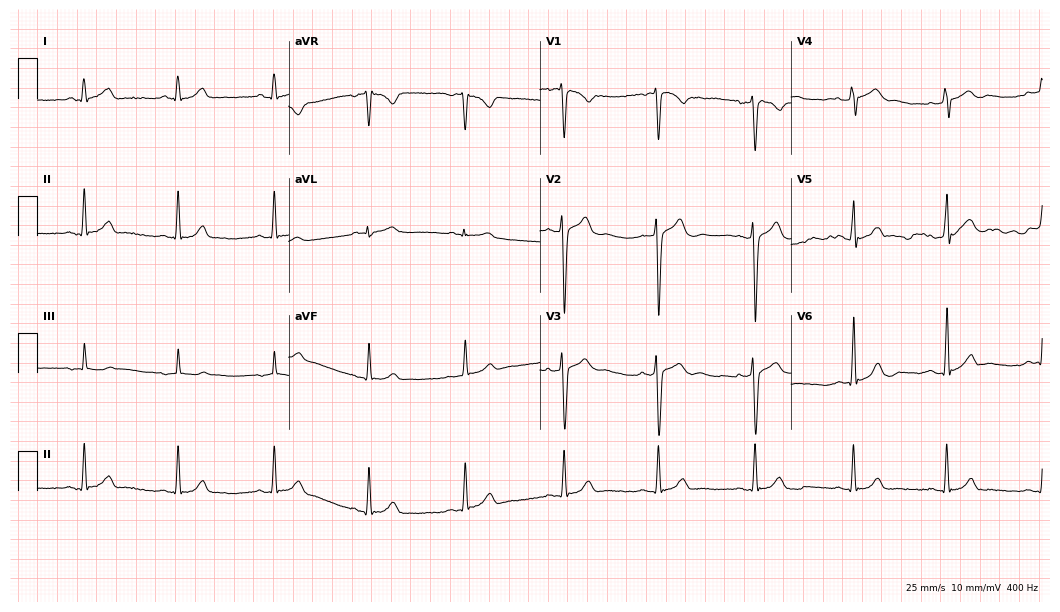
Electrocardiogram (10.2-second recording at 400 Hz), a male, 24 years old. Overall reading on record: normal ECG.